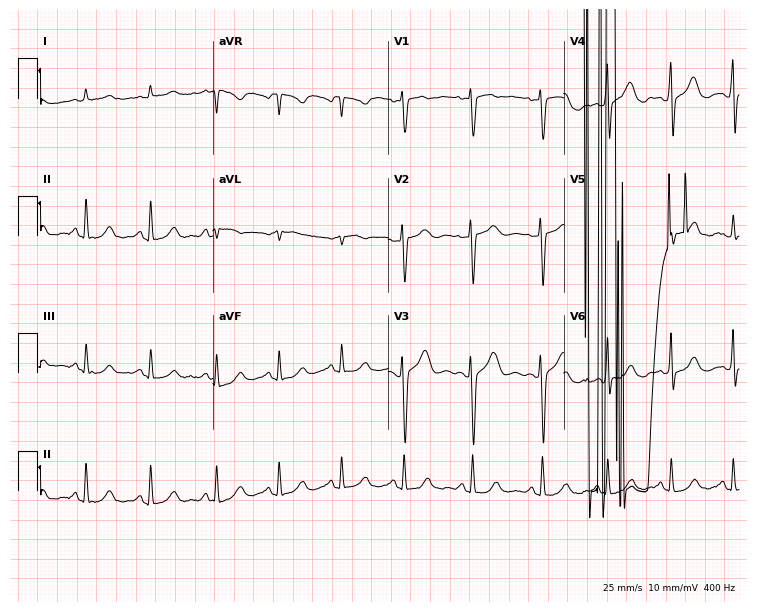
ECG (7.2-second recording at 400 Hz) — a female, 47 years old. Screened for six findings — first-degree AV block, right bundle branch block (RBBB), left bundle branch block (LBBB), sinus bradycardia, atrial fibrillation (AF), sinus tachycardia — none is recorded.